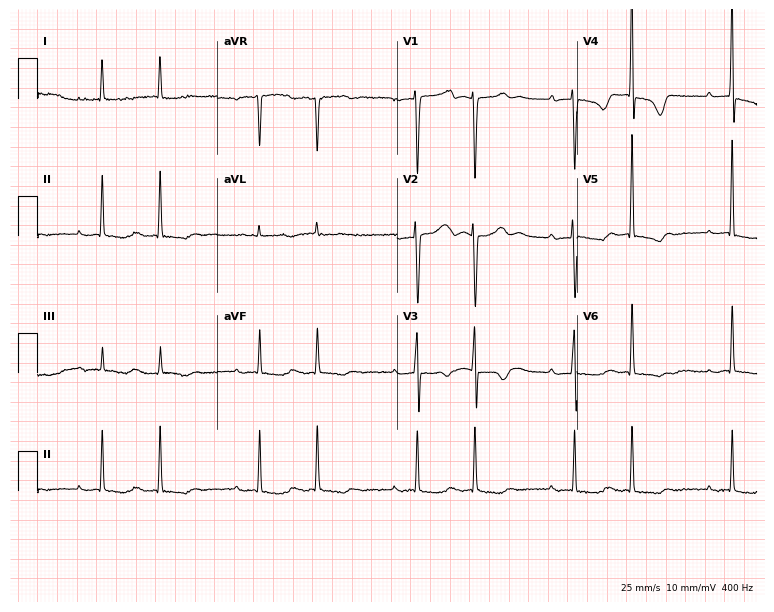
ECG — a 63-year-old female patient. Screened for six findings — first-degree AV block, right bundle branch block (RBBB), left bundle branch block (LBBB), sinus bradycardia, atrial fibrillation (AF), sinus tachycardia — none is recorded.